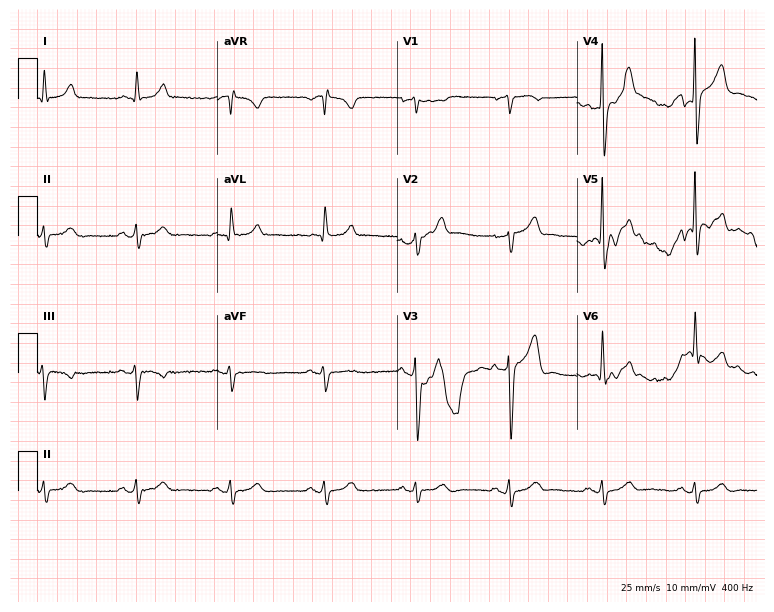
12-lead ECG (7.3-second recording at 400 Hz) from a 55-year-old man. Screened for six findings — first-degree AV block, right bundle branch block, left bundle branch block, sinus bradycardia, atrial fibrillation, sinus tachycardia — none is recorded. Findings outside these six are not listed.